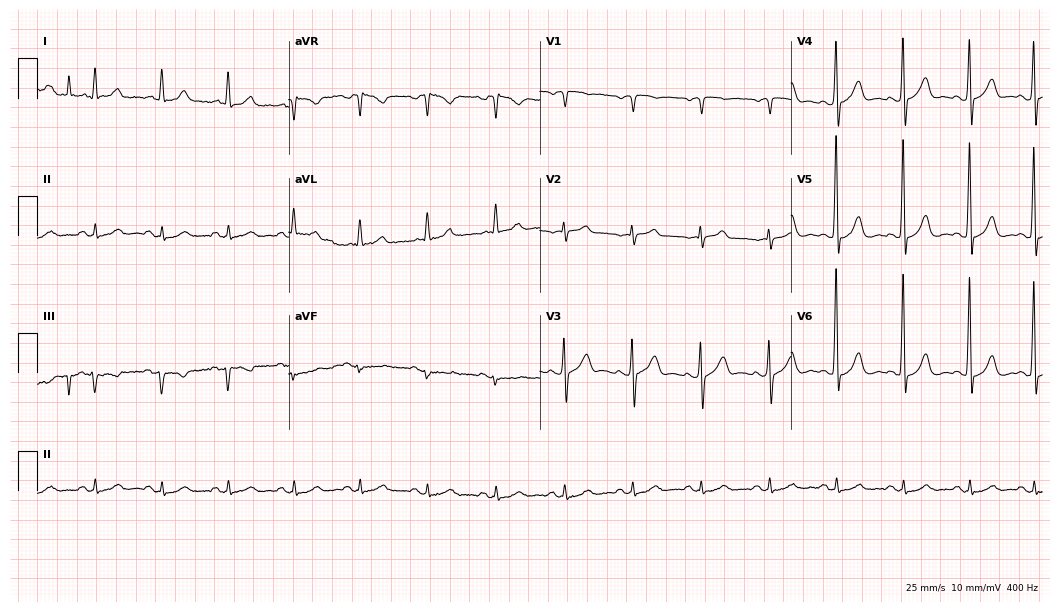
Resting 12-lead electrocardiogram. Patient: a man, 72 years old. None of these six findings is recorded: first-degree AV block, right bundle branch block, left bundle branch block, sinus bradycardia, atrial fibrillation, sinus tachycardia. Only these six findings were labelled.